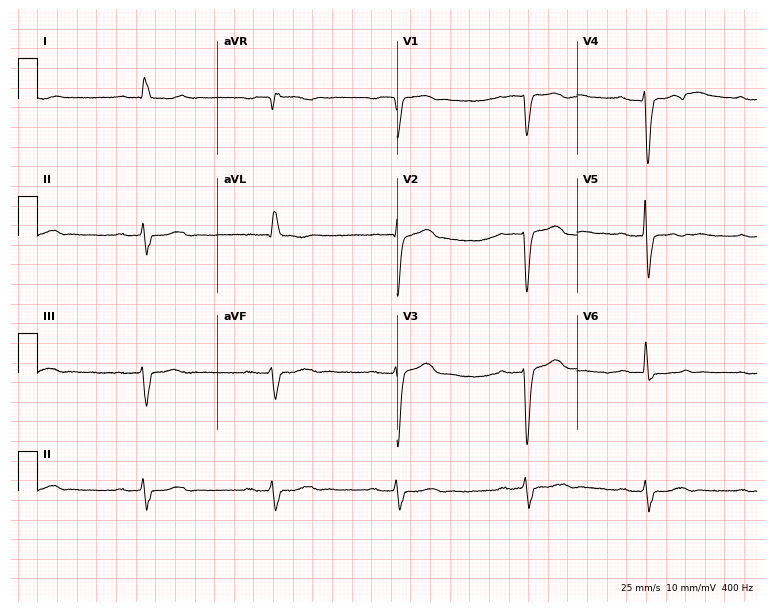
Resting 12-lead electrocardiogram (7.3-second recording at 400 Hz). Patient: a male, 79 years old. None of these six findings is recorded: first-degree AV block, right bundle branch block (RBBB), left bundle branch block (LBBB), sinus bradycardia, atrial fibrillation (AF), sinus tachycardia. Other findings, if any, are not listed.